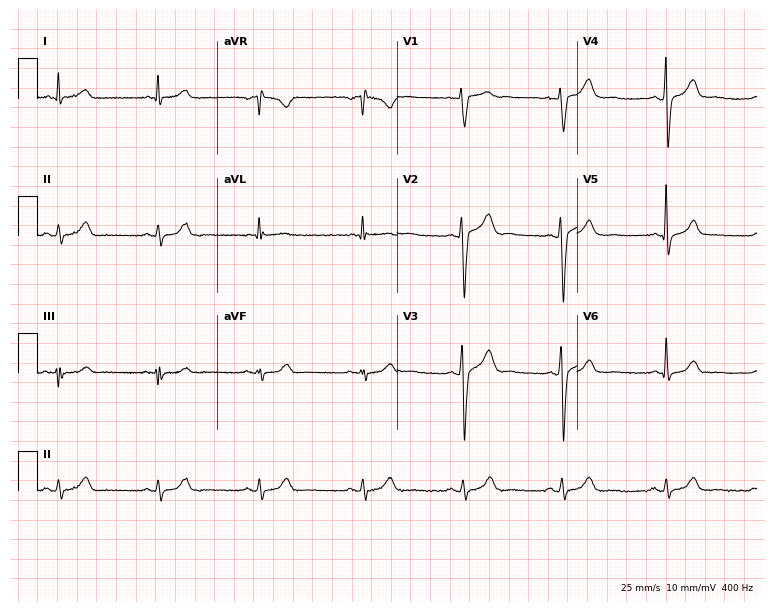
ECG (7.3-second recording at 400 Hz) — a 40-year-old male patient. Screened for six findings — first-degree AV block, right bundle branch block, left bundle branch block, sinus bradycardia, atrial fibrillation, sinus tachycardia — none is recorded.